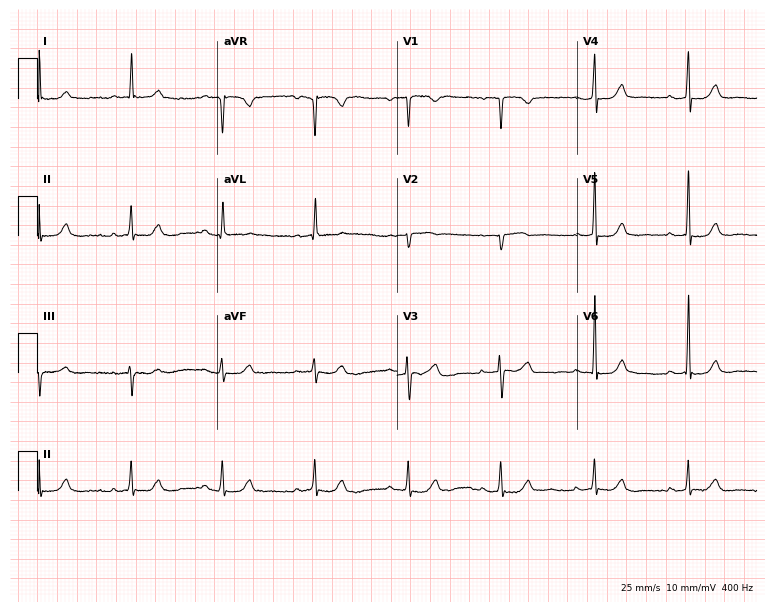
12-lead ECG from a 67-year-old woman (7.3-second recording at 400 Hz). No first-degree AV block, right bundle branch block (RBBB), left bundle branch block (LBBB), sinus bradycardia, atrial fibrillation (AF) or sinus tachycardia recorded for this tracing.